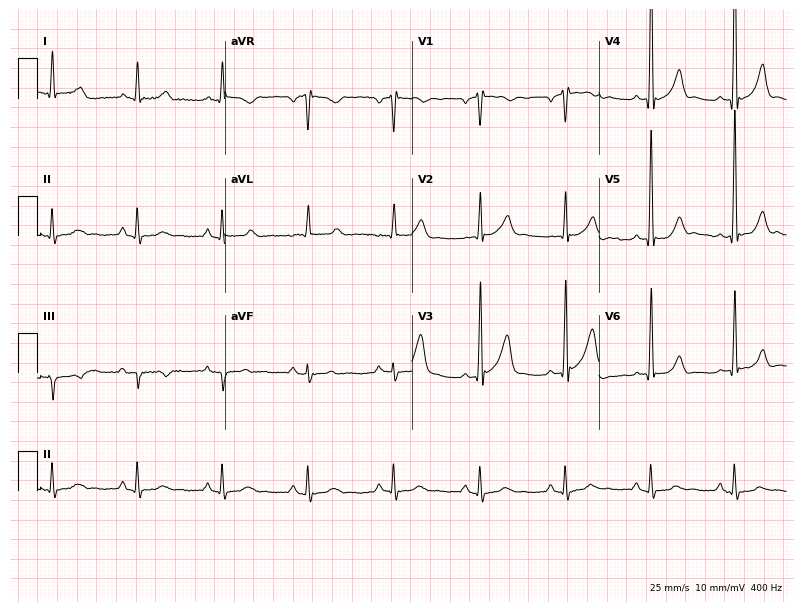
Resting 12-lead electrocardiogram (7.6-second recording at 400 Hz). Patient: a male, 63 years old. None of these six findings is recorded: first-degree AV block, right bundle branch block (RBBB), left bundle branch block (LBBB), sinus bradycardia, atrial fibrillation (AF), sinus tachycardia. Findings outside these six are not listed.